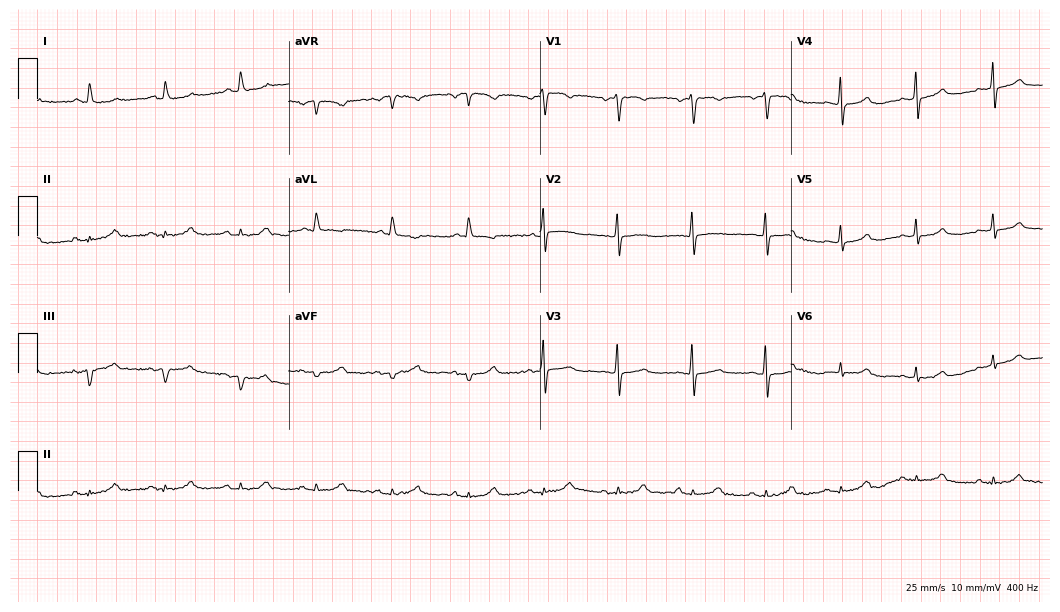
Standard 12-lead ECG recorded from a 61-year-old female (10.2-second recording at 400 Hz). None of these six findings is recorded: first-degree AV block, right bundle branch block (RBBB), left bundle branch block (LBBB), sinus bradycardia, atrial fibrillation (AF), sinus tachycardia.